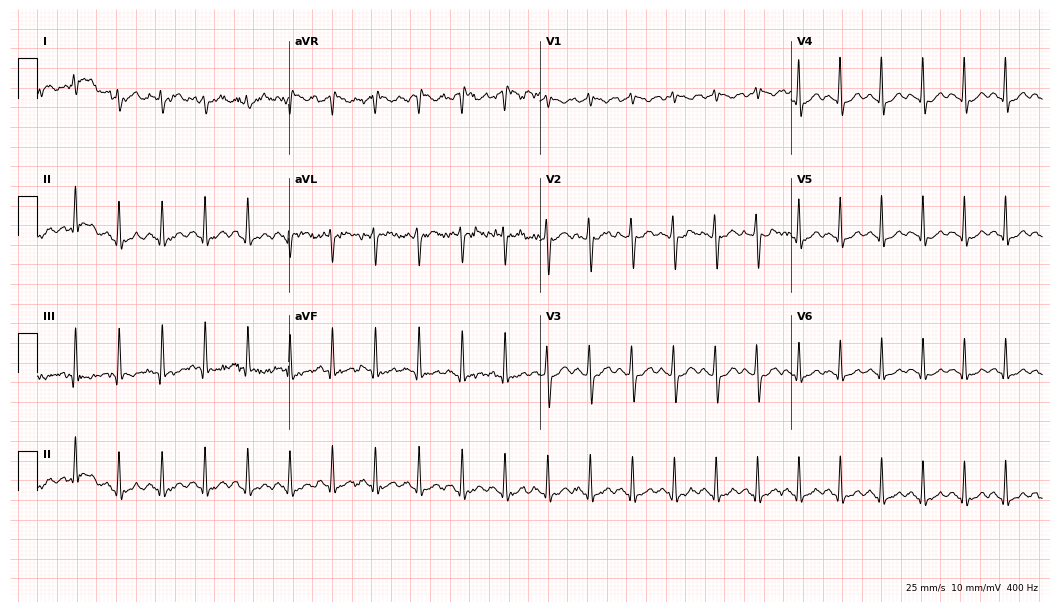
Standard 12-lead ECG recorded from an 18-year-old woman. None of these six findings is recorded: first-degree AV block, right bundle branch block, left bundle branch block, sinus bradycardia, atrial fibrillation, sinus tachycardia. Findings outside these six are not listed.